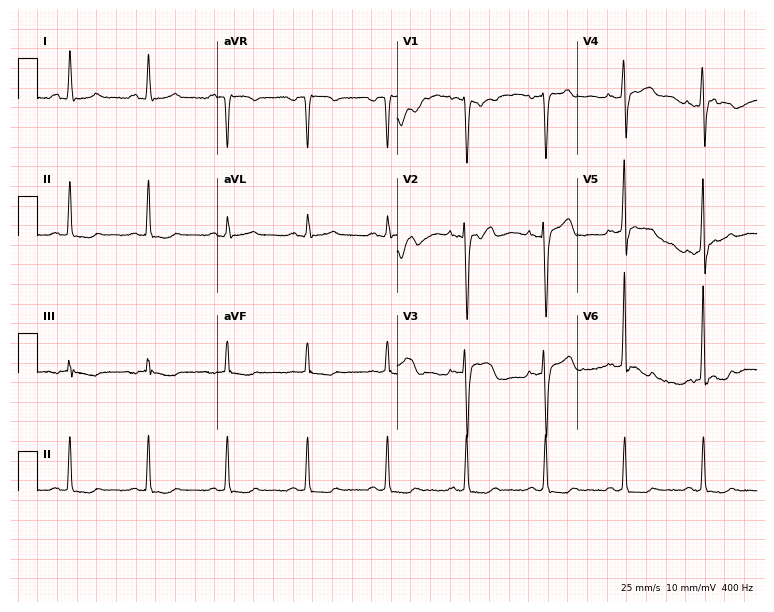
Electrocardiogram, a man, 64 years old. Of the six screened findings (first-degree AV block, right bundle branch block, left bundle branch block, sinus bradycardia, atrial fibrillation, sinus tachycardia), none is recorded. Other findings, if any, are not listed.